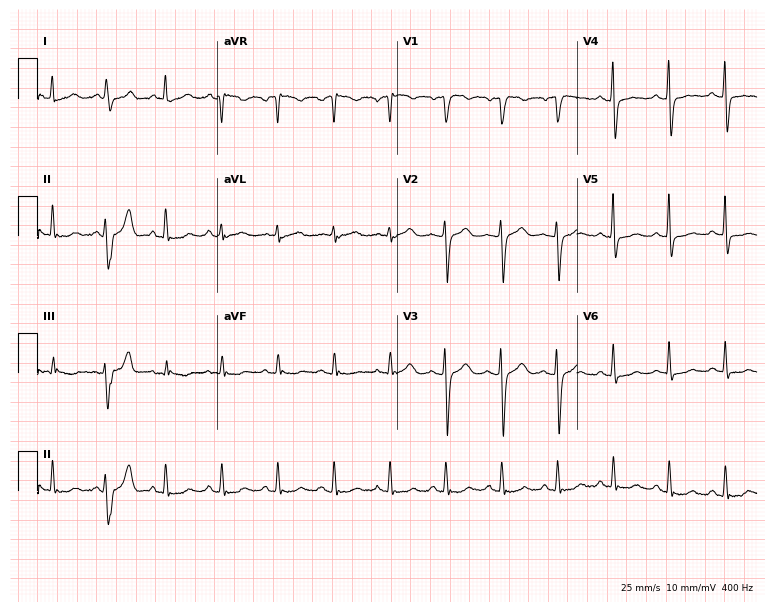
Electrocardiogram, a 55-year-old female patient. Of the six screened findings (first-degree AV block, right bundle branch block, left bundle branch block, sinus bradycardia, atrial fibrillation, sinus tachycardia), none is recorded. Only these six findings were labelled.